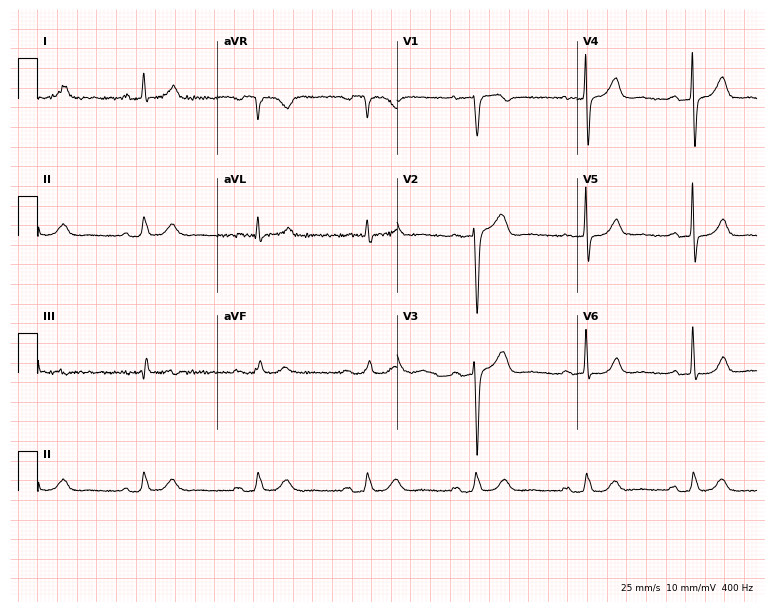
12-lead ECG from a 75-year-old male patient. Recorded interpretation: within normal limits.